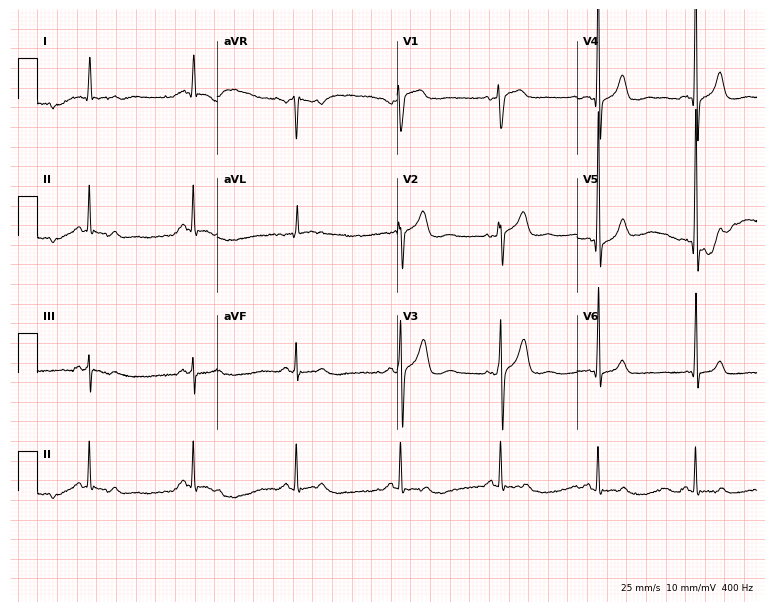
12-lead ECG from a 60-year-old male. Screened for six findings — first-degree AV block, right bundle branch block, left bundle branch block, sinus bradycardia, atrial fibrillation, sinus tachycardia — none is recorded. Findings outside these six are not listed.